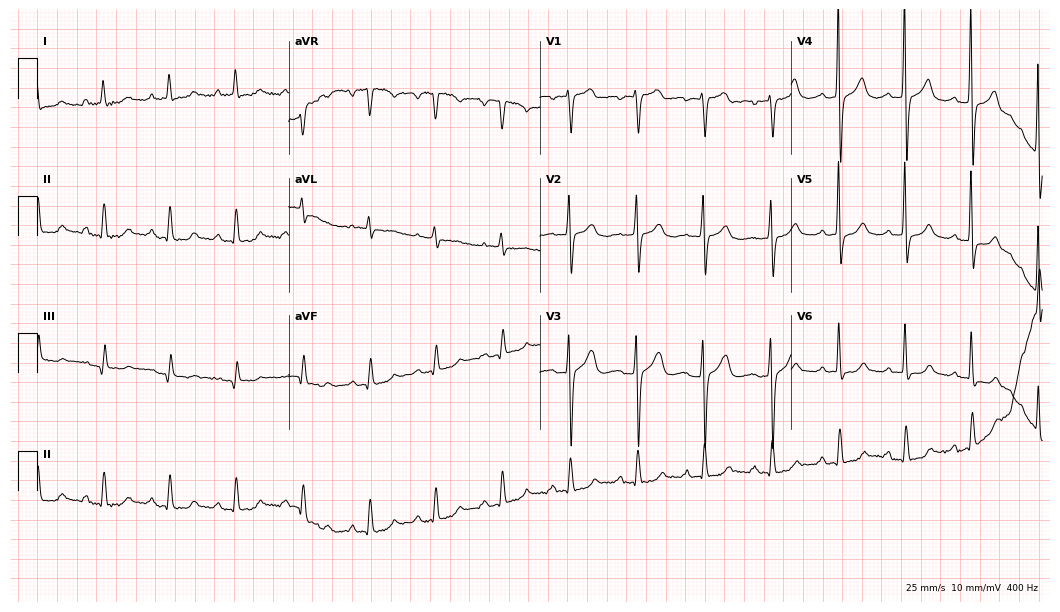
Standard 12-lead ECG recorded from a 65-year-old female patient. Read as a normal ECG.